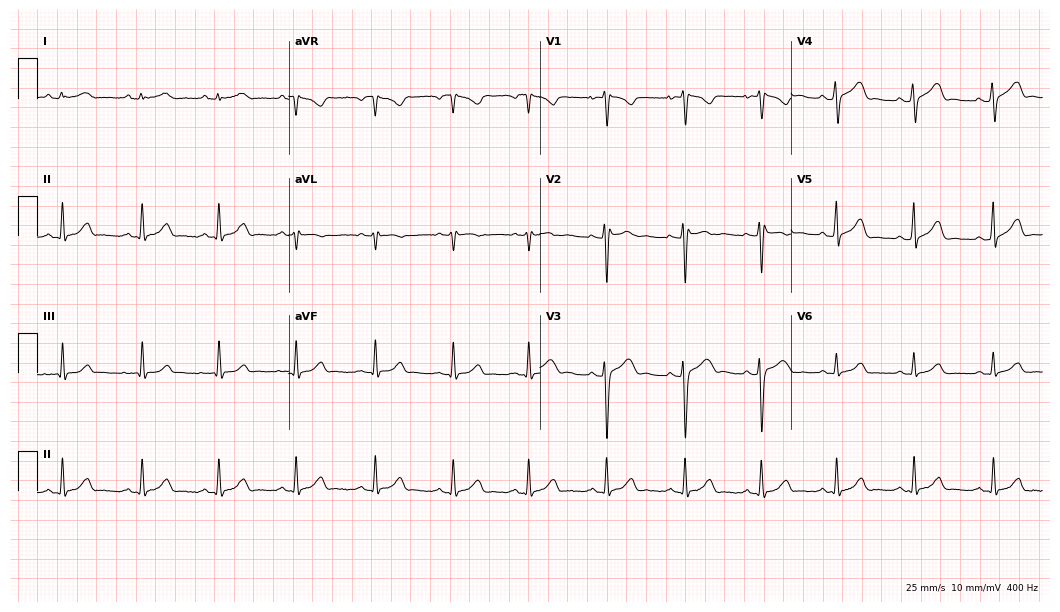
Resting 12-lead electrocardiogram (10.2-second recording at 400 Hz). Patient: a 34-year-old female. Read as a normal ECG.